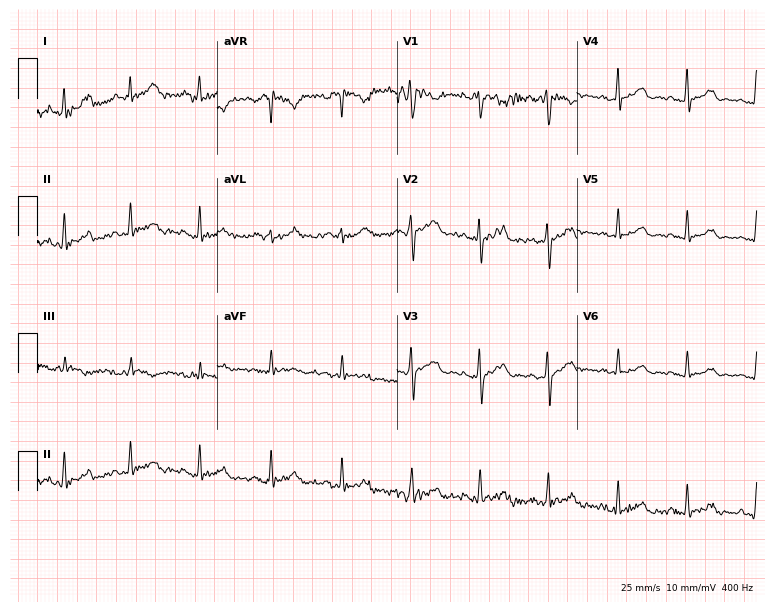
12-lead ECG (7.3-second recording at 400 Hz) from a 29-year-old female patient. Screened for six findings — first-degree AV block, right bundle branch block, left bundle branch block, sinus bradycardia, atrial fibrillation, sinus tachycardia — none is recorded.